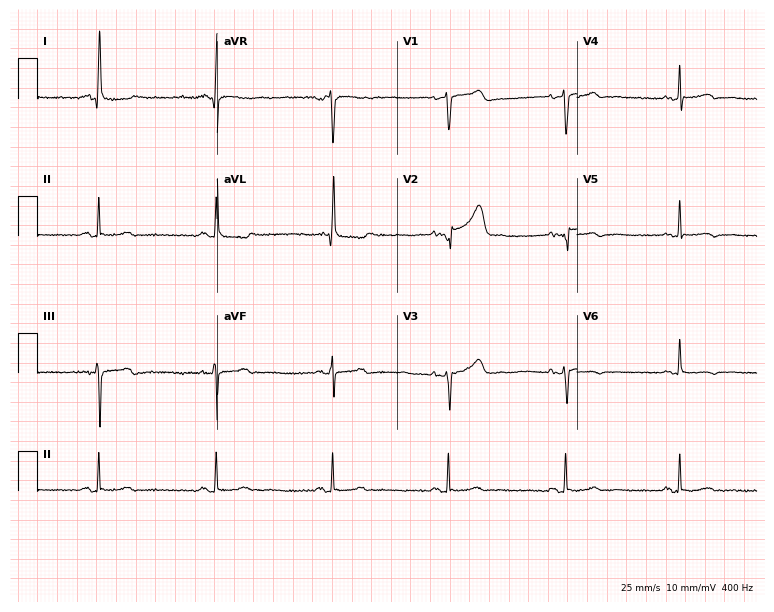
Standard 12-lead ECG recorded from a 68-year-old female (7.3-second recording at 400 Hz). None of these six findings is recorded: first-degree AV block, right bundle branch block (RBBB), left bundle branch block (LBBB), sinus bradycardia, atrial fibrillation (AF), sinus tachycardia.